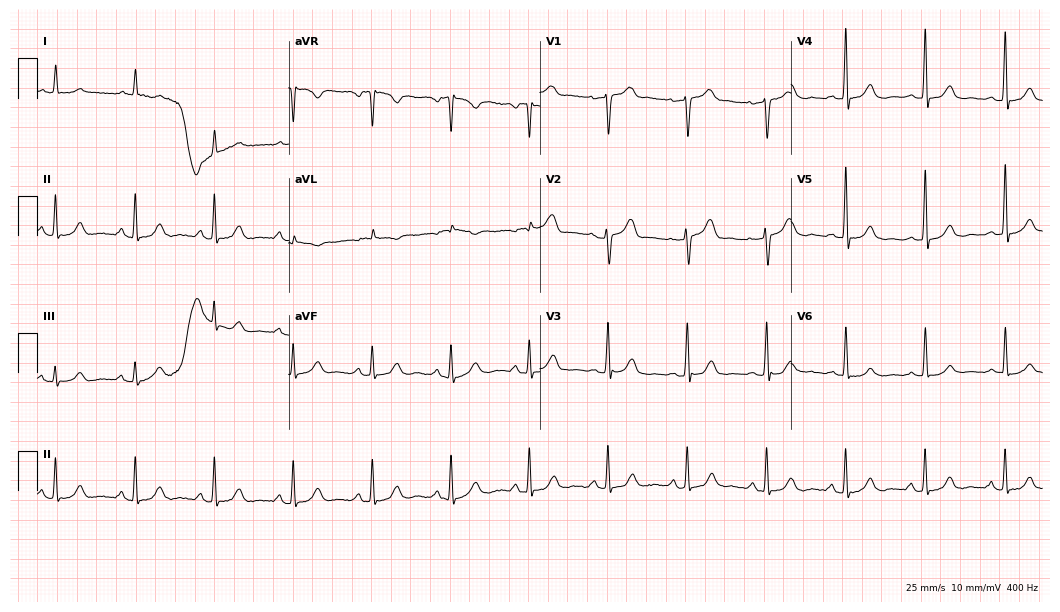
12-lead ECG from a male, 76 years old. Recorded interpretation: within normal limits.